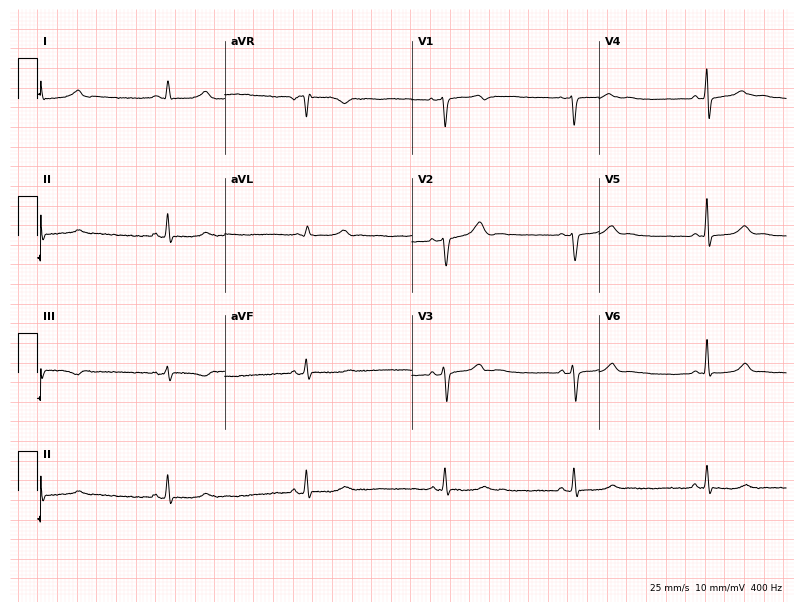
Standard 12-lead ECG recorded from a 34-year-old female (7.6-second recording at 400 Hz). None of these six findings is recorded: first-degree AV block, right bundle branch block (RBBB), left bundle branch block (LBBB), sinus bradycardia, atrial fibrillation (AF), sinus tachycardia.